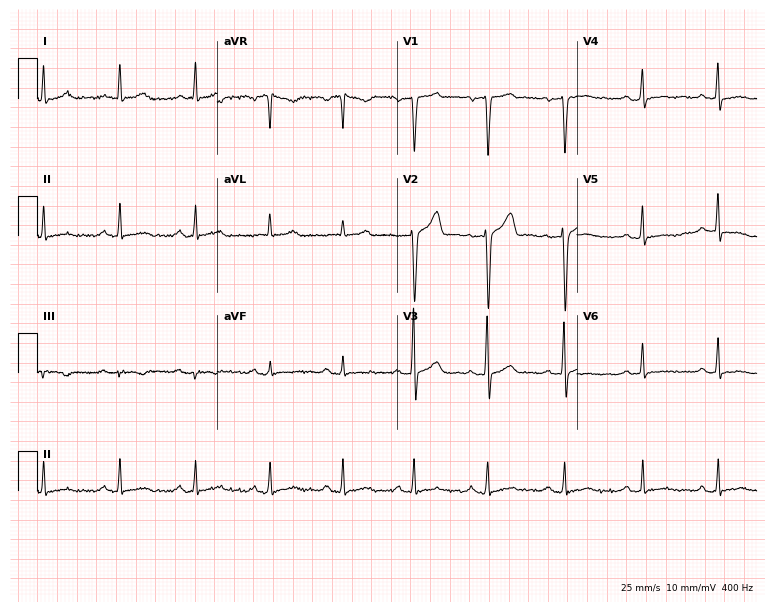
Electrocardiogram (7.3-second recording at 400 Hz), a 44-year-old male. Of the six screened findings (first-degree AV block, right bundle branch block (RBBB), left bundle branch block (LBBB), sinus bradycardia, atrial fibrillation (AF), sinus tachycardia), none is recorded. Other findings, if any, are not listed.